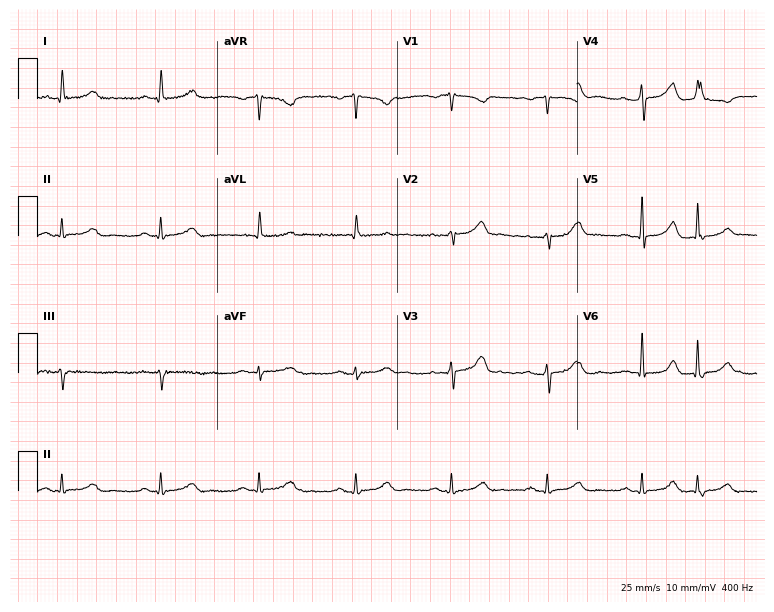
Resting 12-lead electrocardiogram (7.3-second recording at 400 Hz). Patient: an 80-year-old male. None of these six findings is recorded: first-degree AV block, right bundle branch block, left bundle branch block, sinus bradycardia, atrial fibrillation, sinus tachycardia.